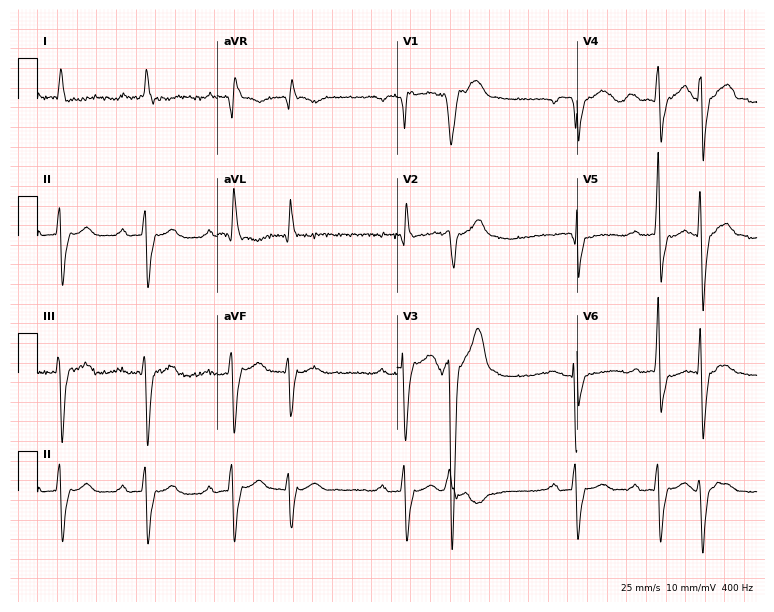
Electrocardiogram, an 83-year-old man. Interpretation includes first-degree AV block, right bundle branch block (RBBB).